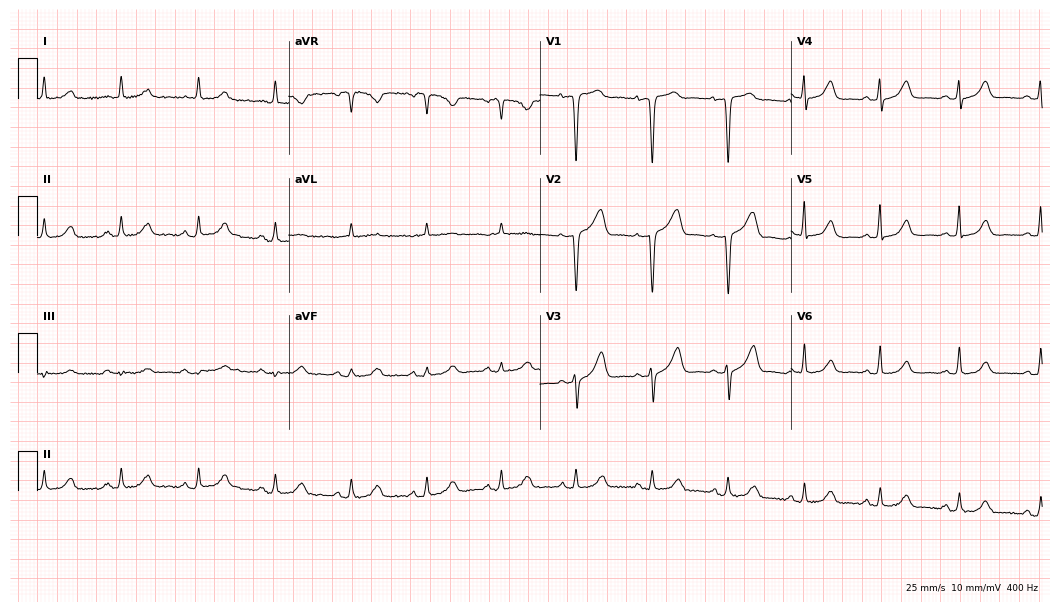
Resting 12-lead electrocardiogram (10.2-second recording at 400 Hz). Patient: a female, 63 years old. Read as a normal ECG.